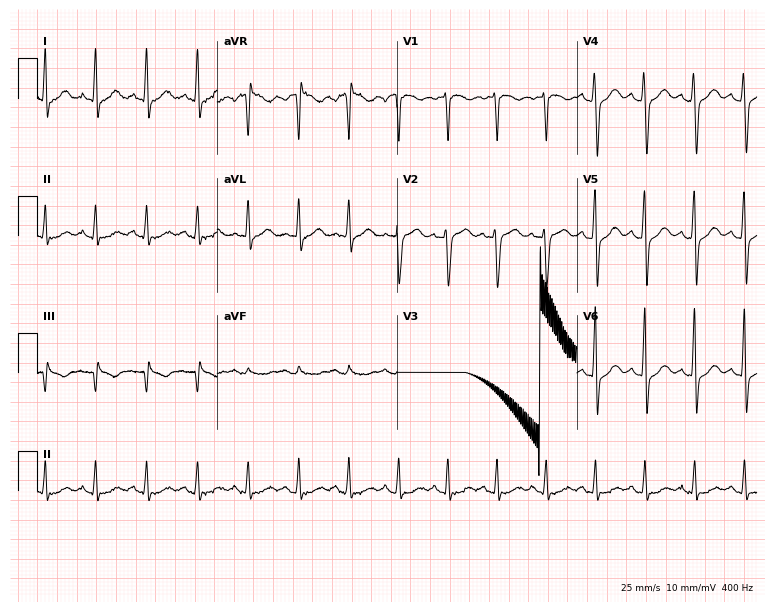
12-lead ECG from a male patient, 49 years old. No first-degree AV block, right bundle branch block (RBBB), left bundle branch block (LBBB), sinus bradycardia, atrial fibrillation (AF) or sinus tachycardia recorded for this tracing. Findings outside these six are not listed.